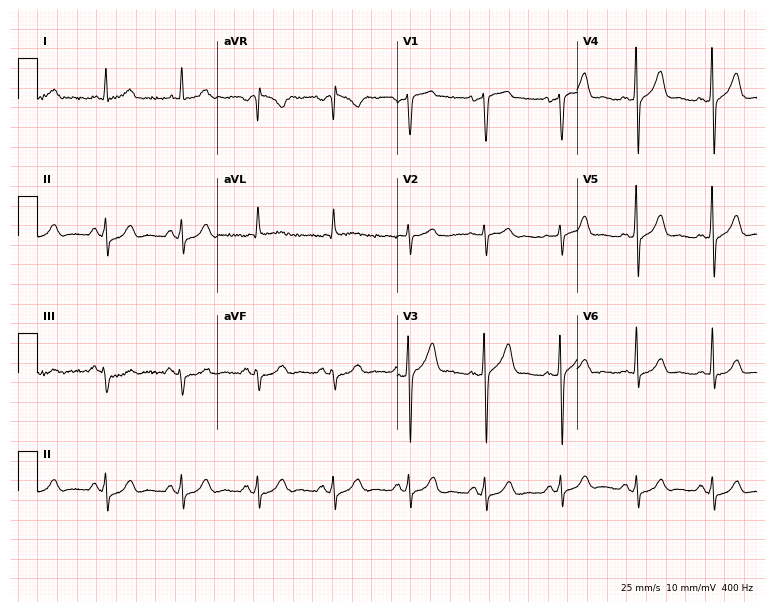
12-lead ECG from a man, 78 years old. No first-degree AV block, right bundle branch block, left bundle branch block, sinus bradycardia, atrial fibrillation or sinus tachycardia recorded for this tracing. Only these six findings were labelled.